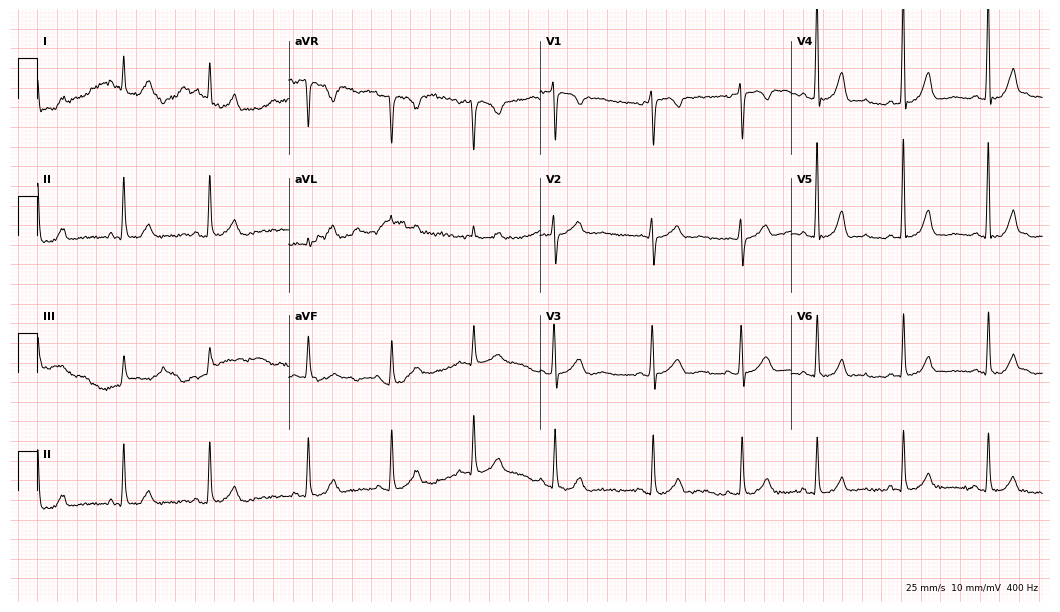
12-lead ECG from a female patient, 84 years old (10.2-second recording at 400 Hz). Recorded interpretation: within normal limits.